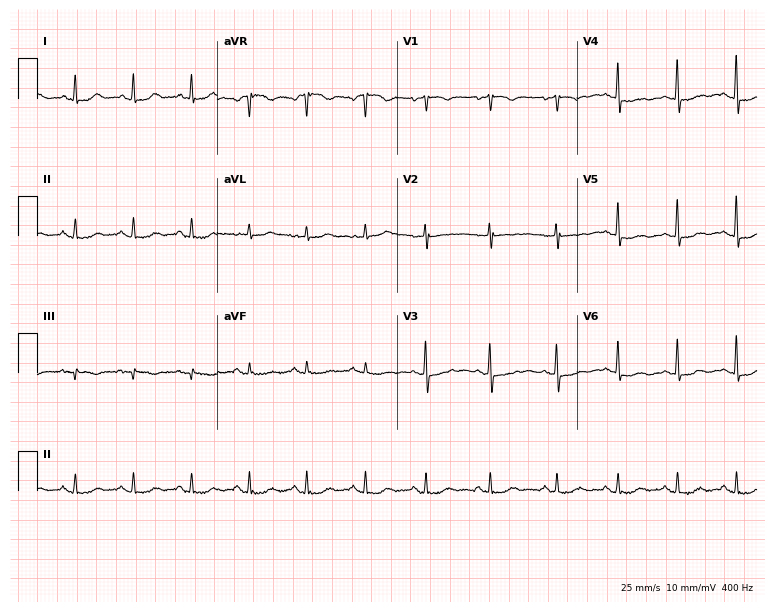
Standard 12-lead ECG recorded from a woman, 68 years old (7.3-second recording at 400 Hz). None of these six findings is recorded: first-degree AV block, right bundle branch block, left bundle branch block, sinus bradycardia, atrial fibrillation, sinus tachycardia. Only these six findings were labelled.